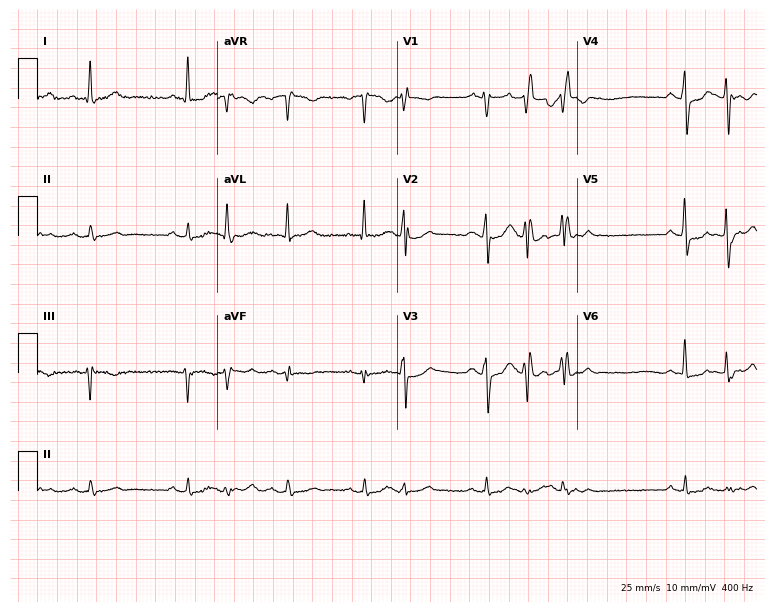
Resting 12-lead electrocardiogram (7.3-second recording at 400 Hz). Patient: a male, 77 years old. None of these six findings is recorded: first-degree AV block, right bundle branch block, left bundle branch block, sinus bradycardia, atrial fibrillation, sinus tachycardia. Only these six findings were labelled.